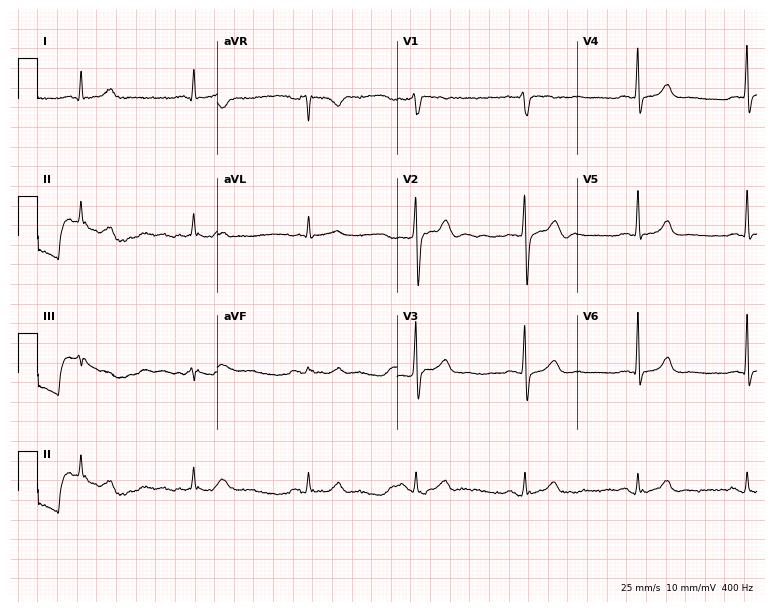
Standard 12-lead ECG recorded from a 49-year-old male patient. Read as a normal ECG.